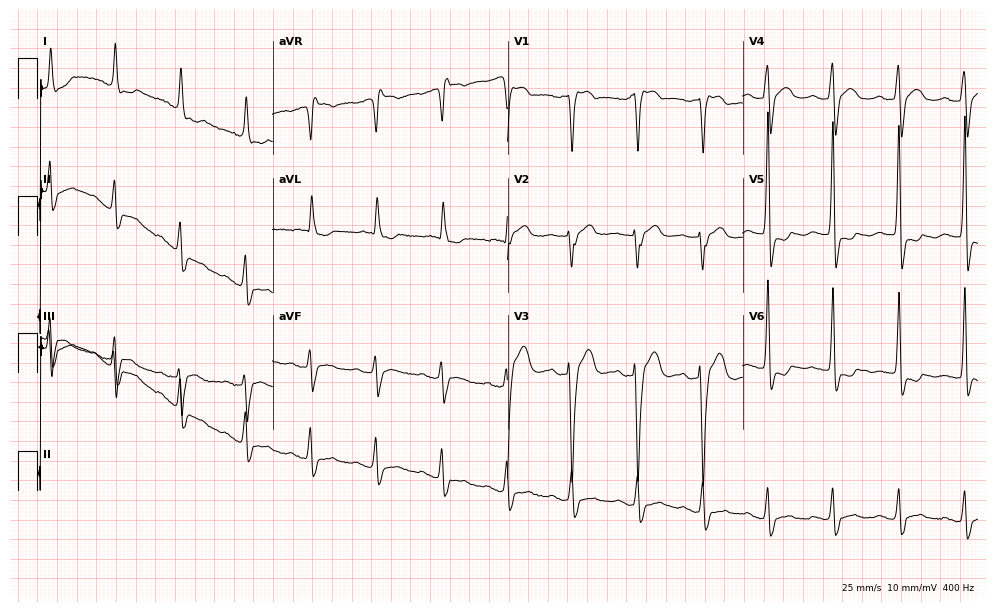
Resting 12-lead electrocardiogram (9.6-second recording at 400 Hz). Patient: an 83-year-old female. None of these six findings is recorded: first-degree AV block, right bundle branch block, left bundle branch block, sinus bradycardia, atrial fibrillation, sinus tachycardia.